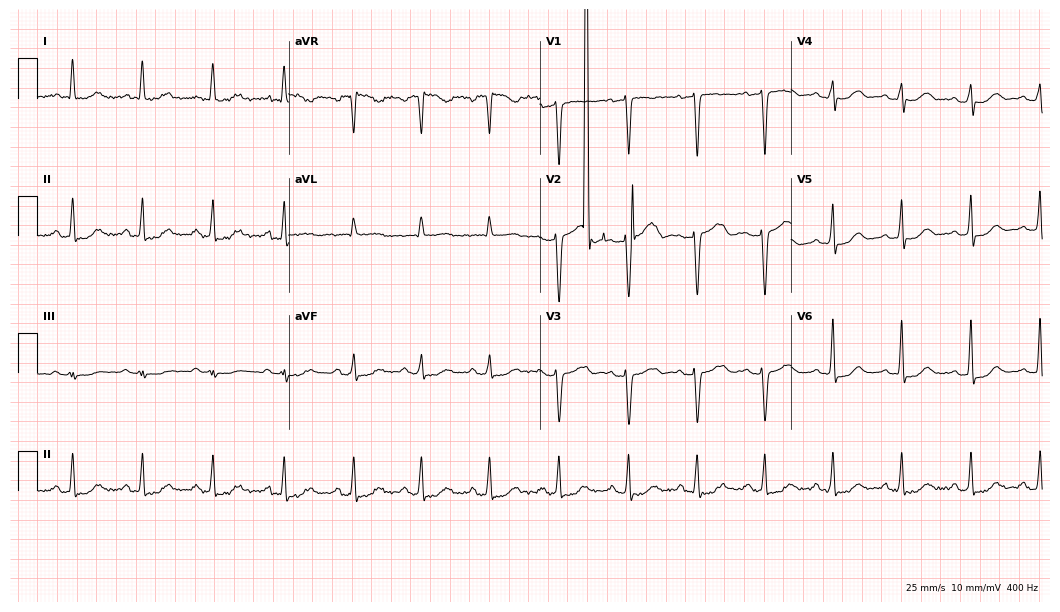
ECG — a woman, 65 years old. Labelled as a normal ECG.